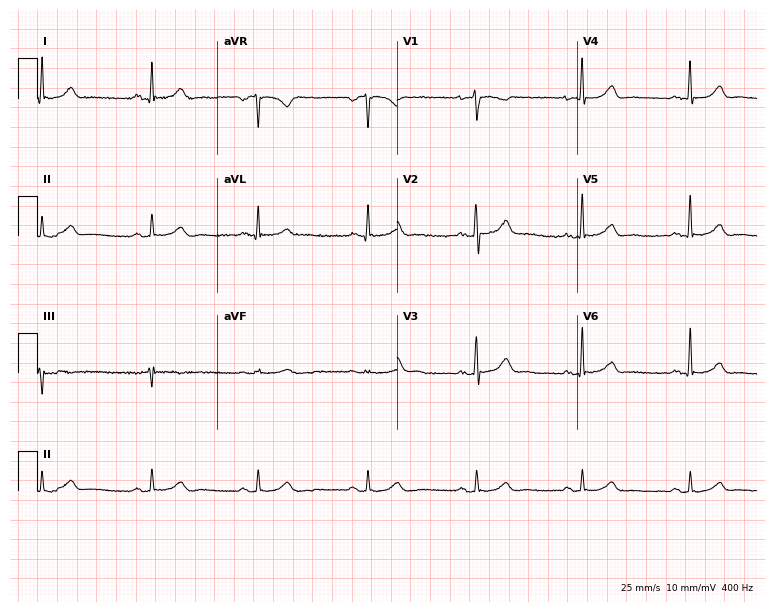
Electrocardiogram, a female, 38 years old. Overall reading on record: normal ECG.